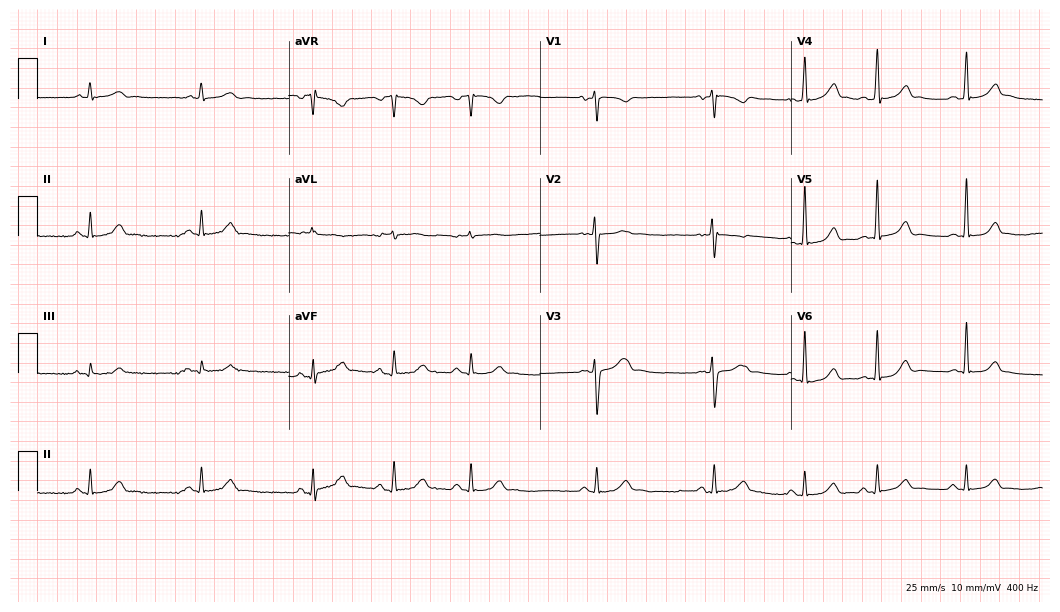
12-lead ECG from a 17-year-old woman. Labelled as a normal ECG.